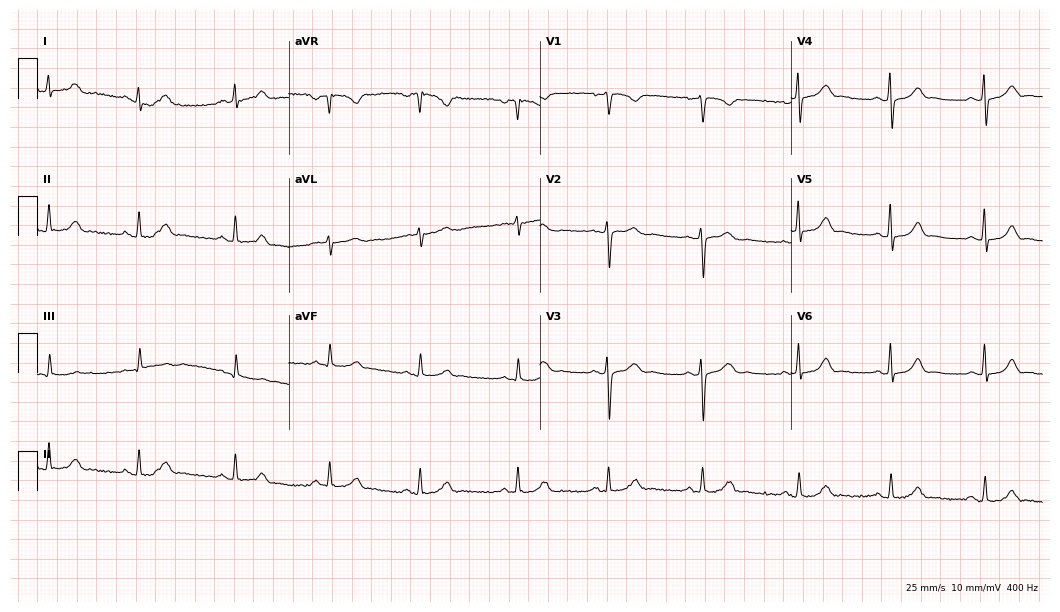
Electrocardiogram, a woman, 29 years old. Overall reading on record: normal ECG.